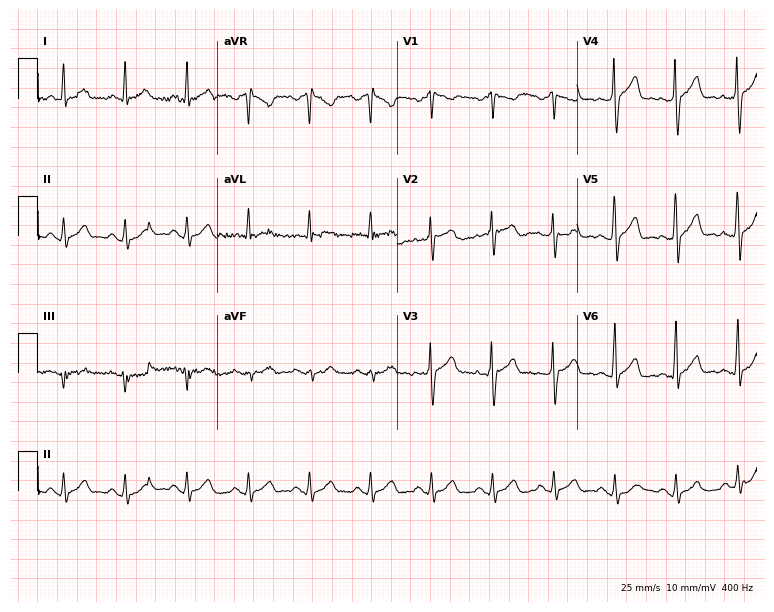
Electrocardiogram (7.3-second recording at 400 Hz), a 32-year-old male. Overall reading on record: normal ECG.